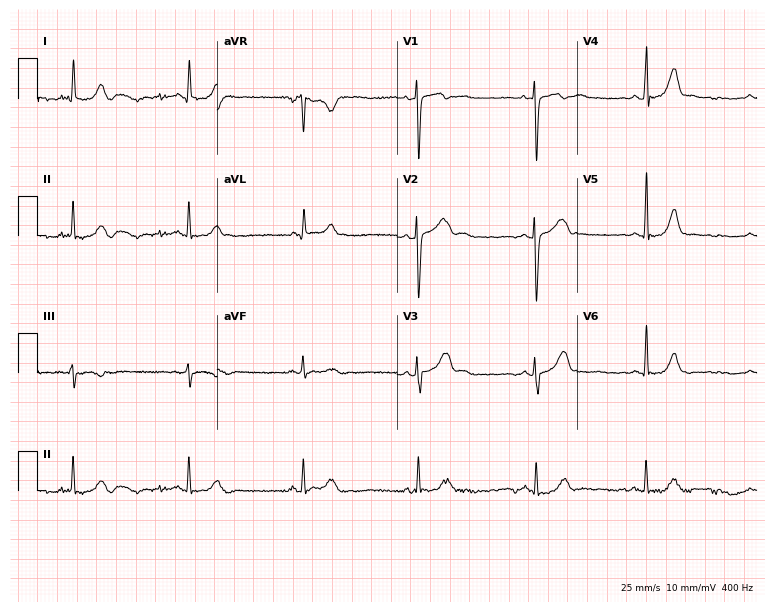
Electrocardiogram, a female patient, 34 years old. Of the six screened findings (first-degree AV block, right bundle branch block (RBBB), left bundle branch block (LBBB), sinus bradycardia, atrial fibrillation (AF), sinus tachycardia), none is recorded.